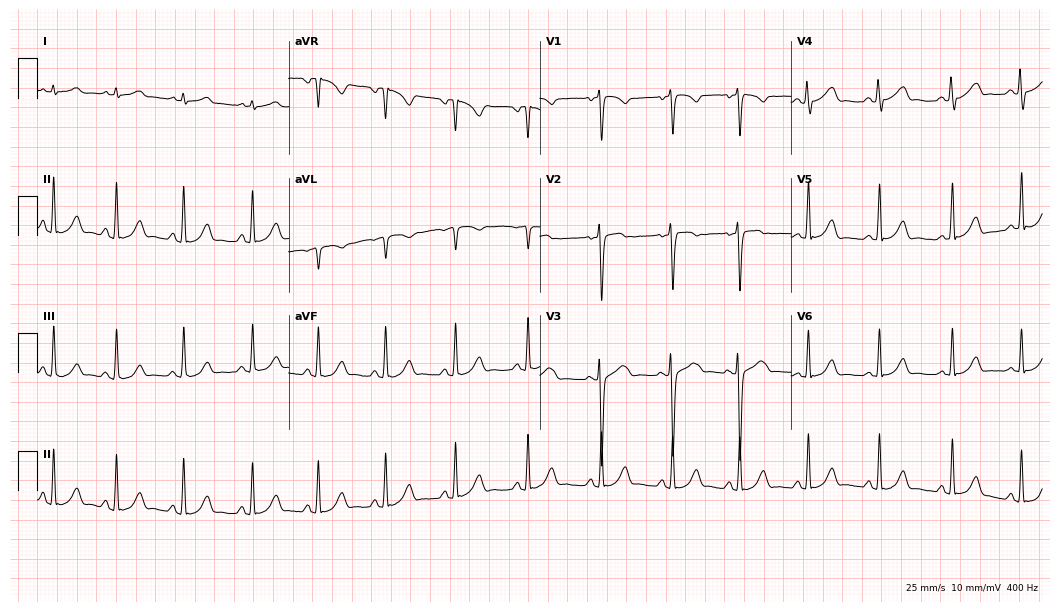
12-lead ECG from a 31-year-old woman. Recorded interpretation: within normal limits.